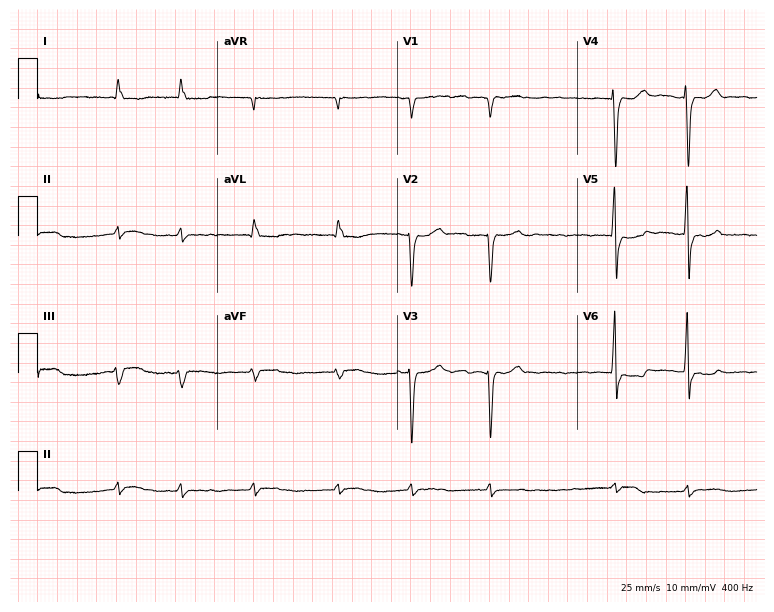
Resting 12-lead electrocardiogram (7.3-second recording at 400 Hz). Patient: a 72-year-old male. The tracing shows atrial fibrillation.